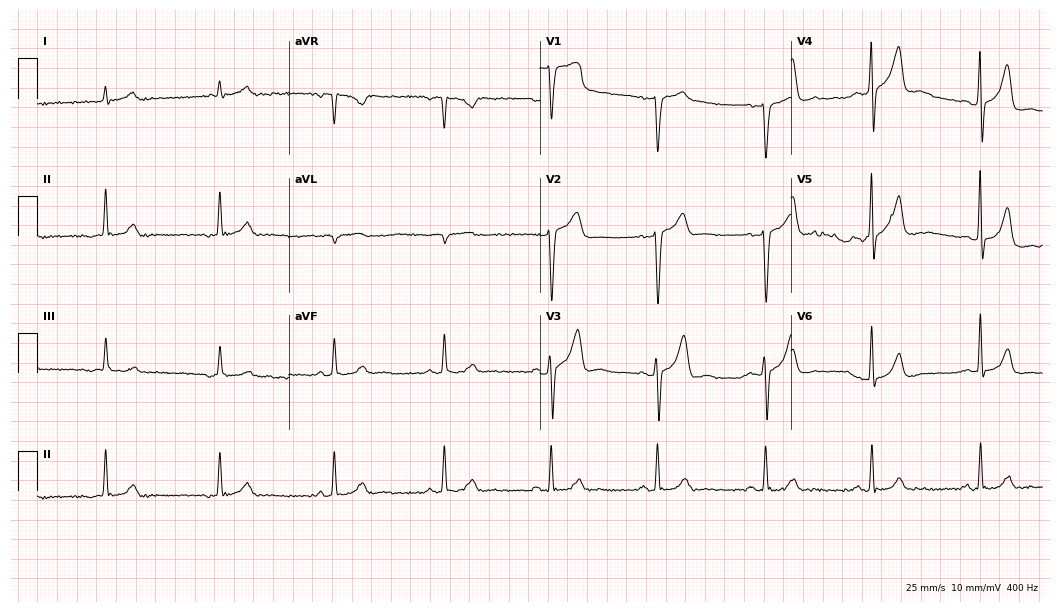
Standard 12-lead ECG recorded from a 68-year-old male patient (10.2-second recording at 400 Hz). Read as a normal ECG.